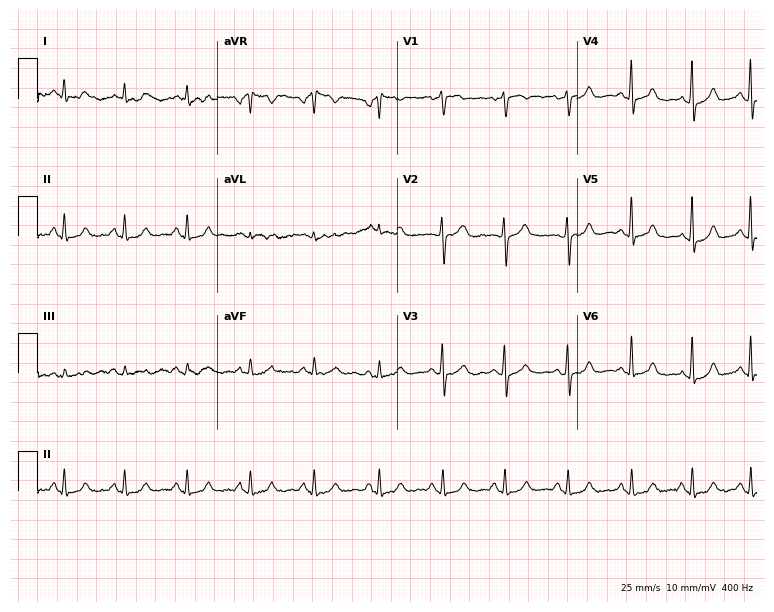
Resting 12-lead electrocardiogram (7.3-second recording at 400 Hz). Patient: a 54-year-old female. None of these six findings is recorded: first-degree AV block, right bundle branch block, left bundle branch block, sinus bradycardia, atrial fibrillation, sinus tachycardia.